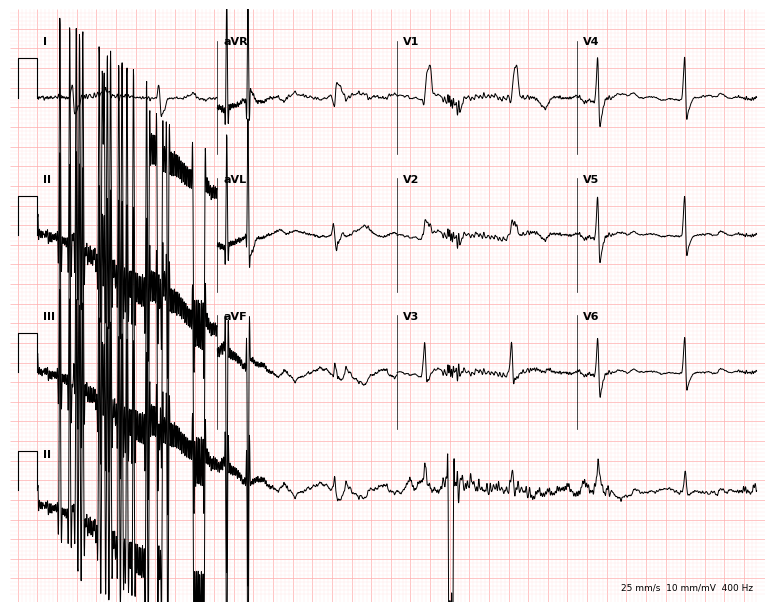
12-lead ECG (7.3-second recording at 400 Hz) from a woman, 55 years old. Screened for six findings — first-degree AV block, right bundle branch block, left bundle branch block, sinus bradycardia, atrial fibrillation, sinus tachycardia — none is recorded.